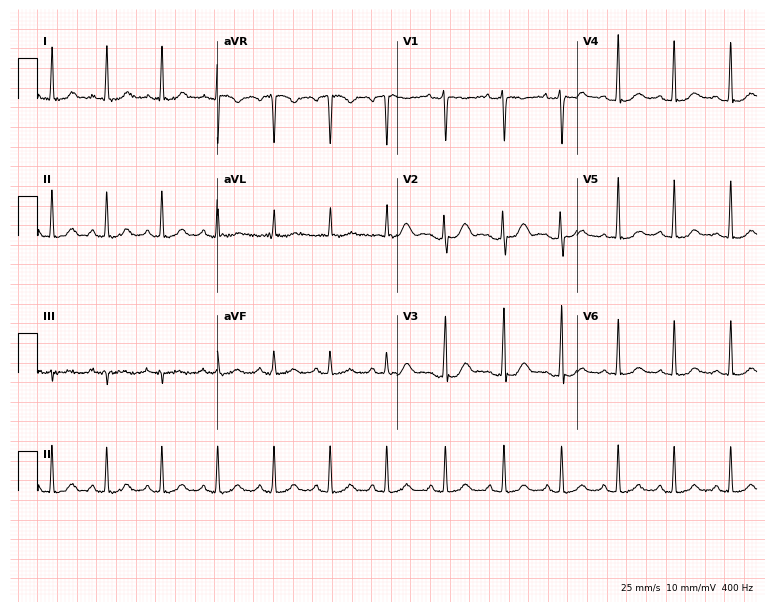
12-lead ECG from a 24-year-old female (7.3-second recording at 400 Hz). Recorded interpretation: within normal limits.